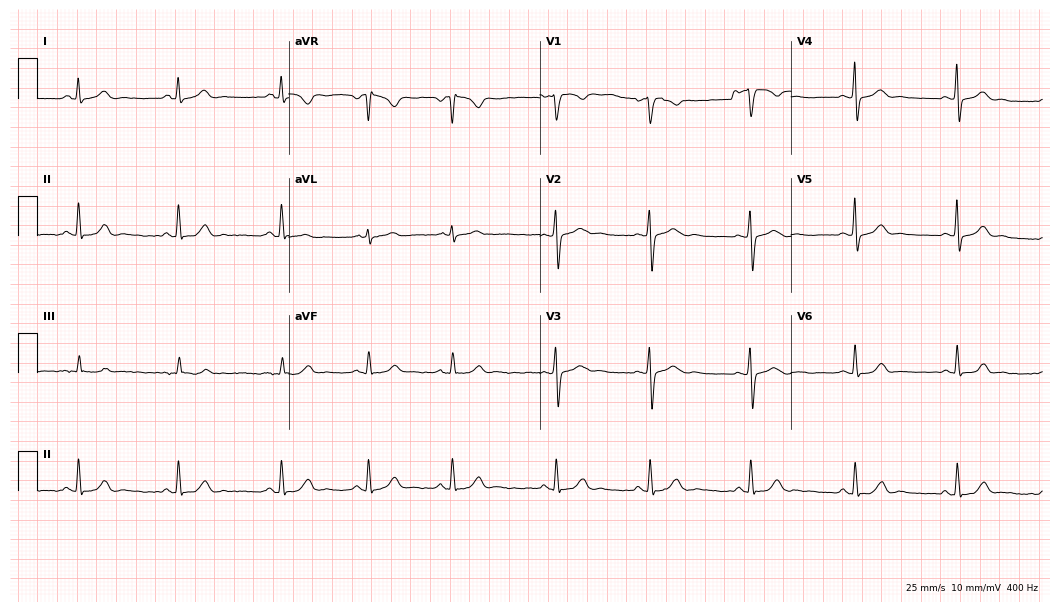
ECG — a 31-year-old woman. Labelled as a normal ECG.